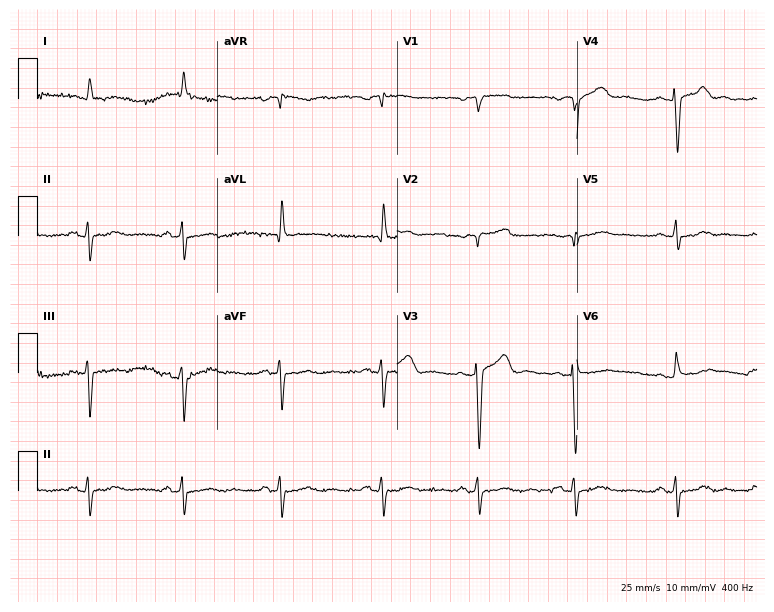
Standard 12-lead ECG recorded from a male, 84 years old. None of these six findings is recorded: first-degree AV block, right bundle branch block, left bundle branch block, sinus bradycardia, atrial fibrillation, sinus tachycardia.